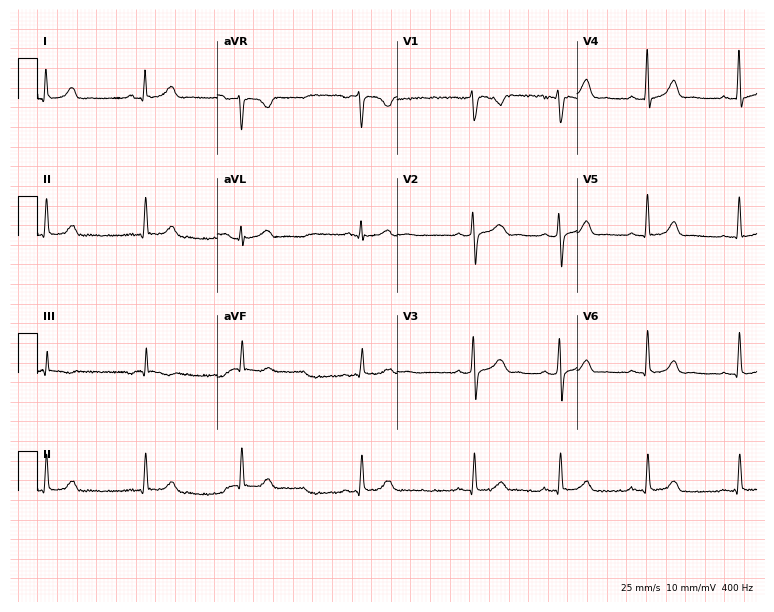
ECG (7.3-second recording at 400 Hz) — a female patient, 25 years old. Screened for six findings — first-degree AV block, right bundle branch block, left bundle branch block, sinus bradycardia, atrial fibrillation, sinus tachycardia — none is recorded. Only these six findings were labelled.